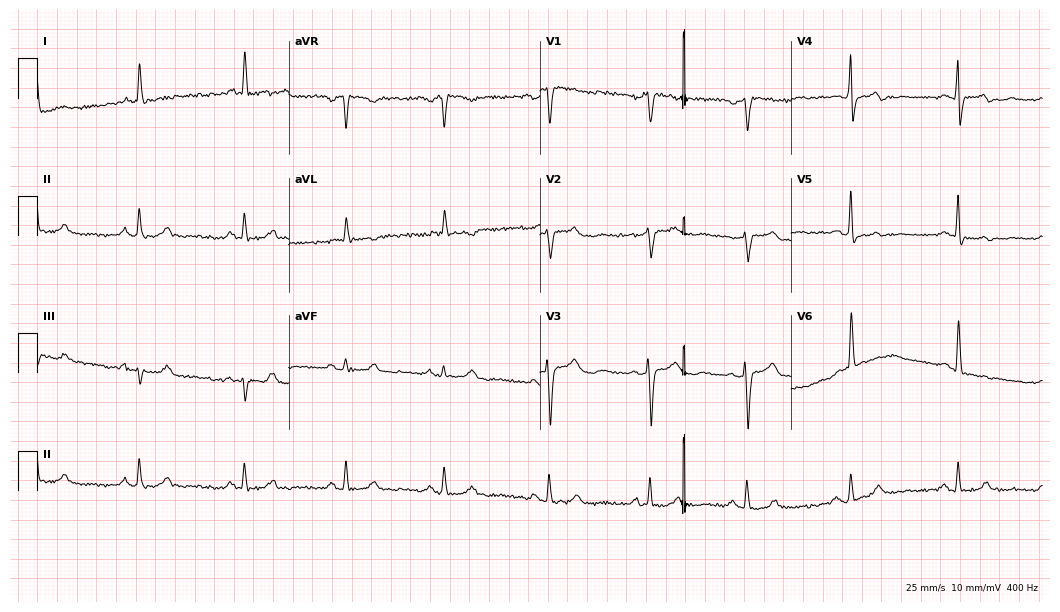
Electrocardiogram (10.2-second recording at 400 Hz), a female, 62 years old. Of the six screened findings (first-degree AV block, right bundle branch block (RBBB), left bundle branch block (LBBB), sinus bradycardia, atrial fibrillation (AF), sinus tachycardia), none is recorded.